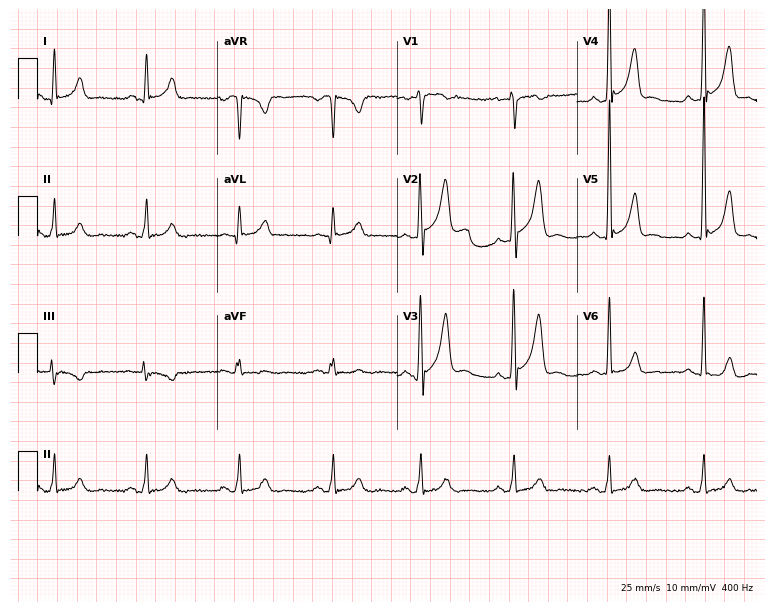
ECG (7.3-second recording at 400 Hz) — a male, 32 years old. Labelled as a normal ECG.